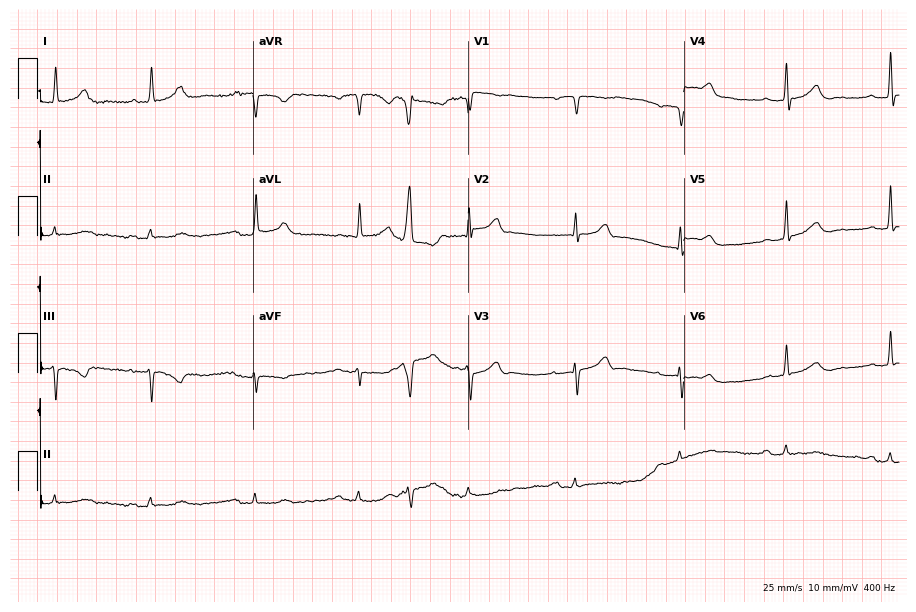
Electrocardiogram (8.8-second recording at 400 Hz), a woman, 66 years old. Overall reading on record: normal ECG.